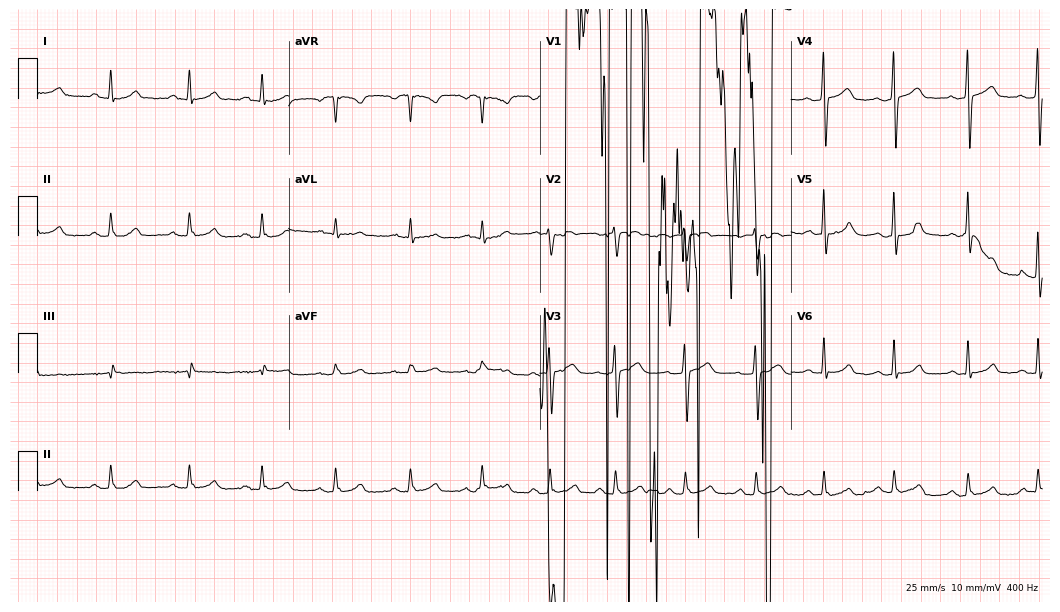
Standard 12-lead ECG recorded from a female, 26 years old (10.2-second recording at 400 Hz). None of these six findings is recorded: first-degree AV block, right bundle branch block, left bundle branch block, sinus bradycardia, atrial fibrillation, sinus tachycardia.